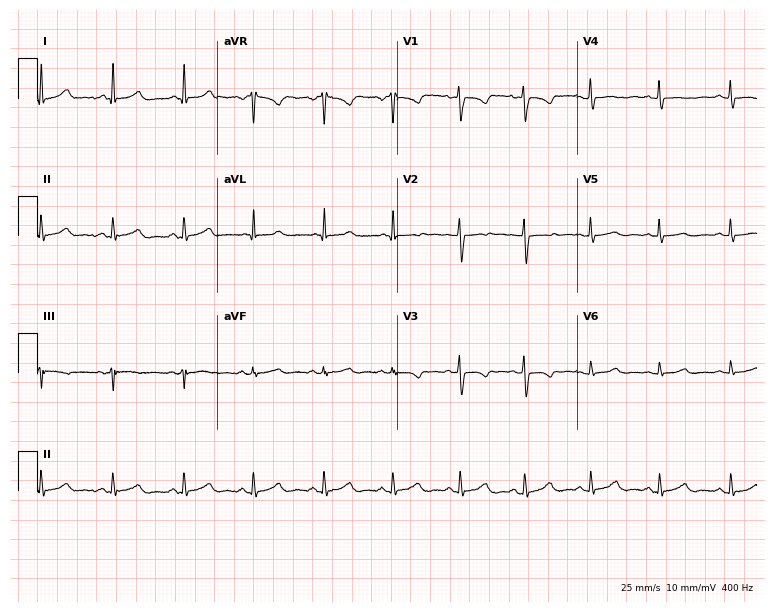
ECG (7.3-second recording at 400 Hz) — a female patient, 44 years old. Screened for six findings — first-degree AV block, right bundle branch block (RBBB), left bundle branch block (LBBB), sinus bradycardia, atrial fibrillation (AF), sinus tachycardia — none is recorded.